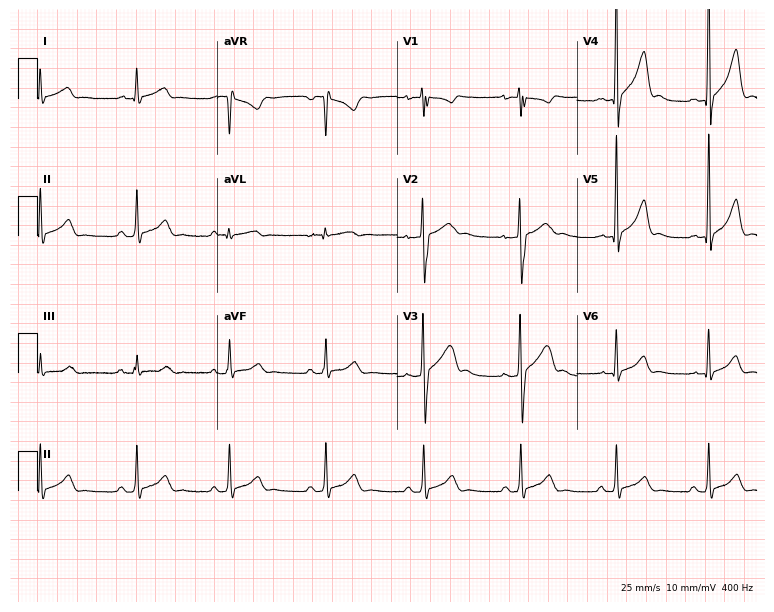
12-lead ECG (7.3-second recording at 400 Hz) from a 24-year-old man. Labelled as a normal ECG.